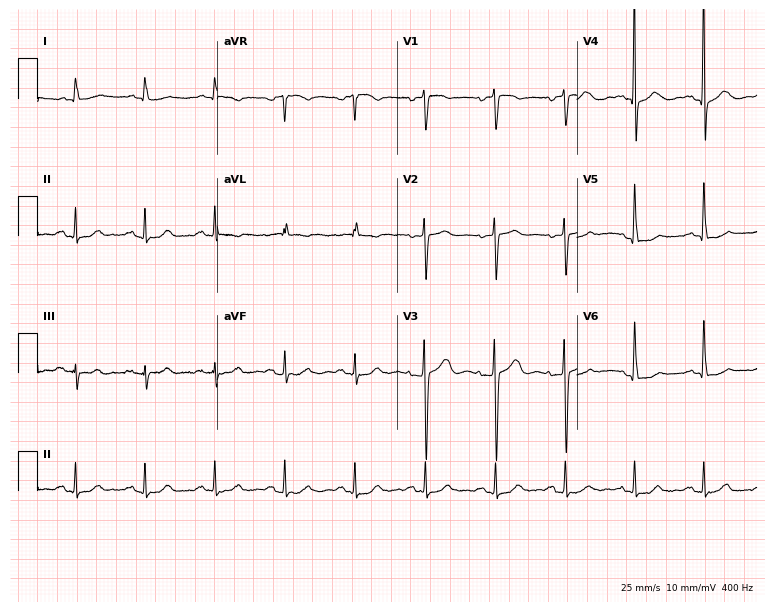
Electrocardiogram, an 80-year-old female. Of the six screened findings (first-degree AV block, right bundle branch block, left bundle branch block, sinus bradycardia, atrial fibrillation, sinus tachycardia), none is recorded.